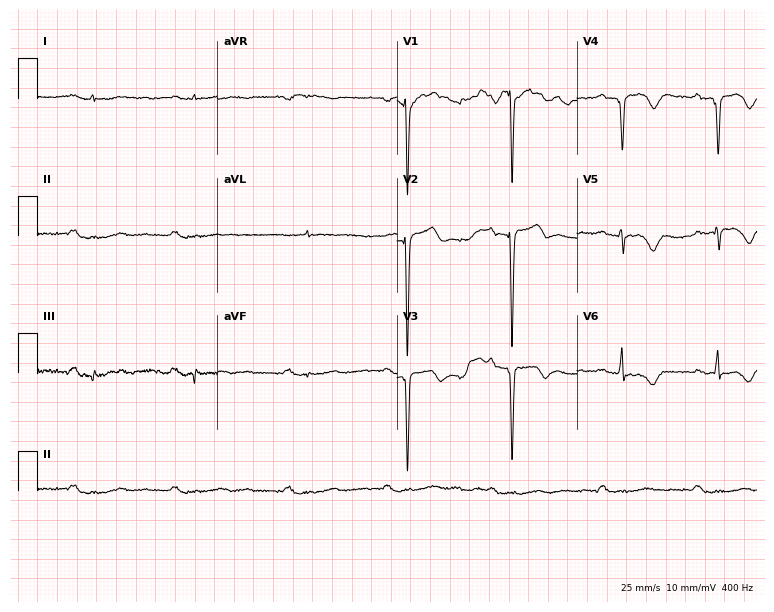
Standard 12-lead ECG recorded from a male patient, 63 years old (7.3-second recording at 400 Hz). None of these six findings is recorded: first-degree AV block, right bundle branch block, left bundle branch block, sinus bradycardia, atrial fibrillation, sinus tachycardia.